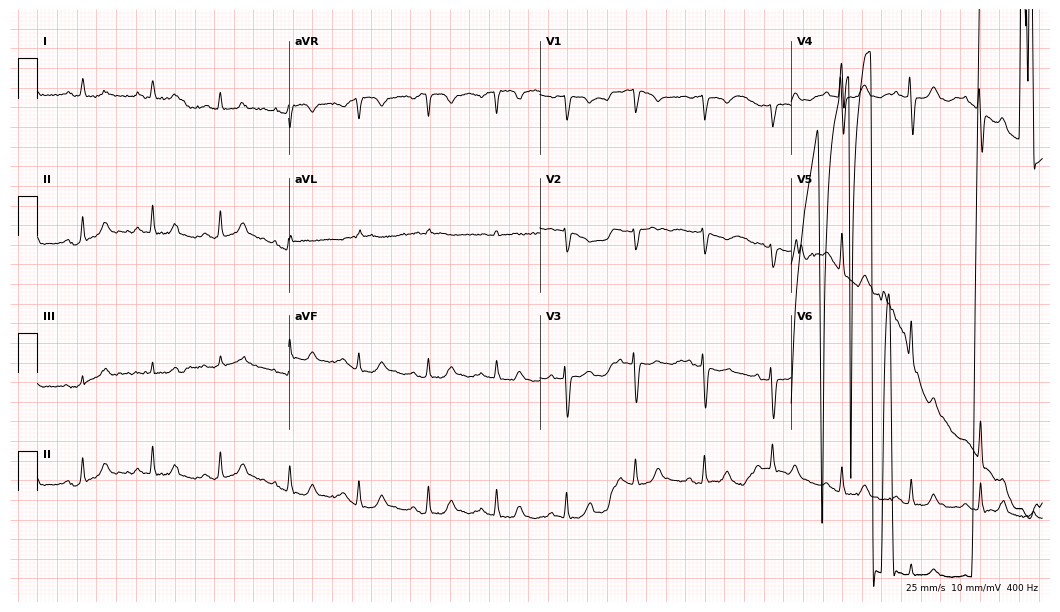
ECG — a woman, 74 years old. Labelled as a normal ECG.